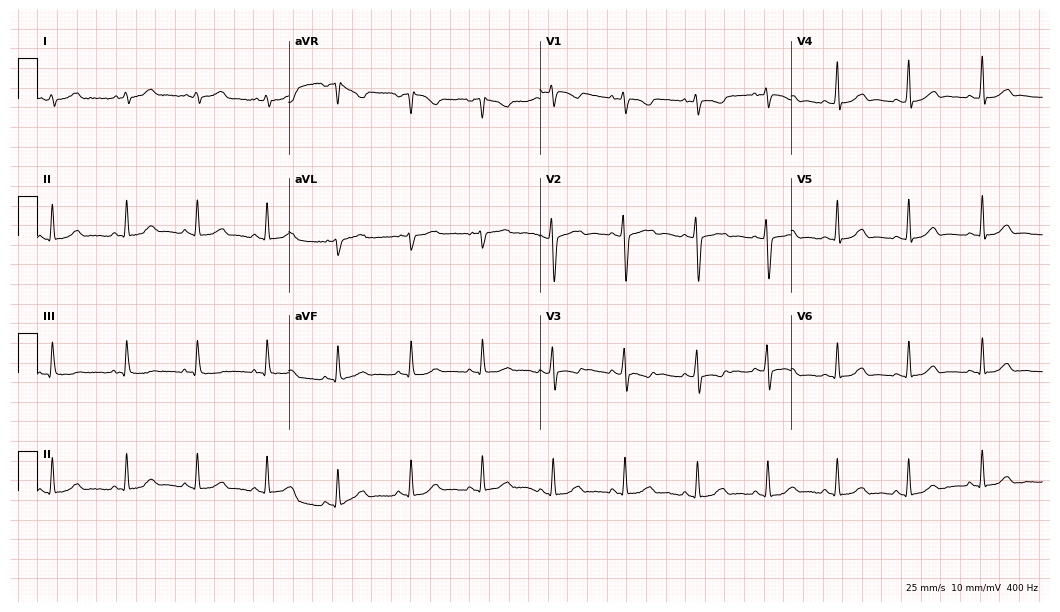
Standard 12-lead ECG recorded from a 20-year-old woman (10.2-second recording at 400 Hz). Read as a normal ECG.